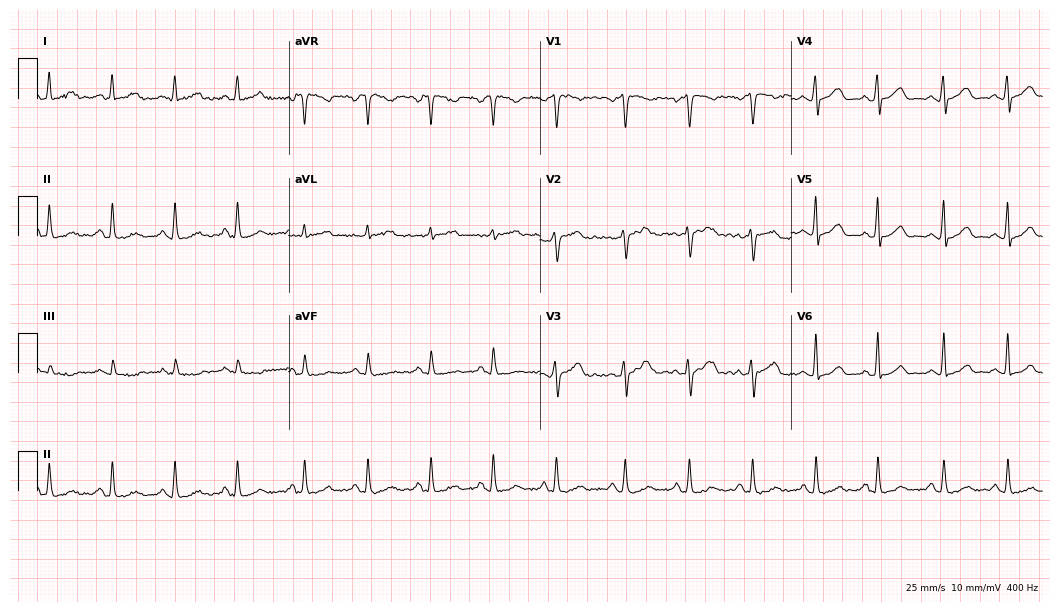
Resting 12-lead electrocardiogram (10.2-second recording at 400 Hz). Patient: a female, 41 years old. Read as a normal ECG.